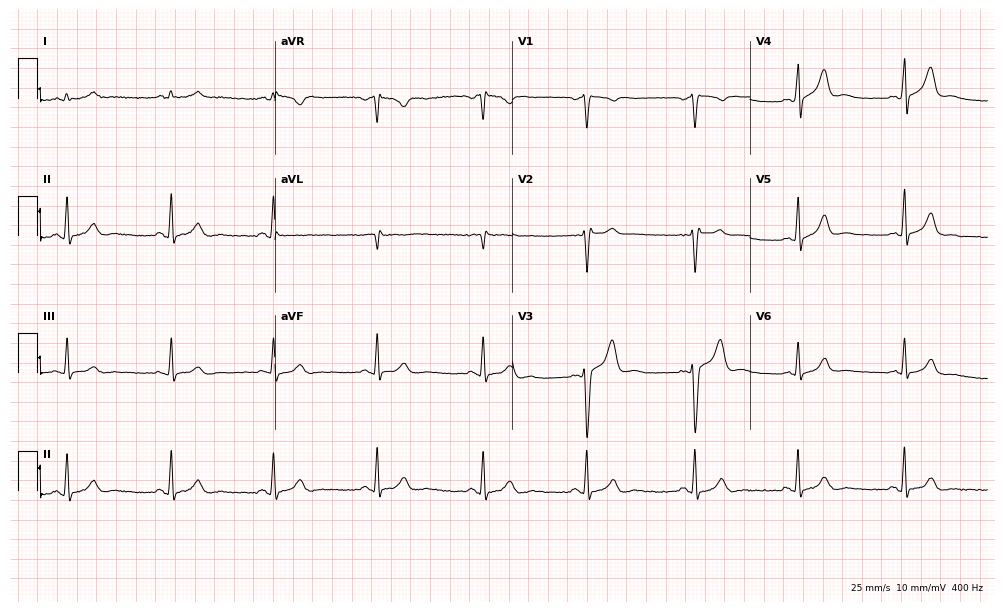
12-lead ECG (9.7-second recording at 400 Hz) from a man, 43 years old. Labelled as a normal ECG.